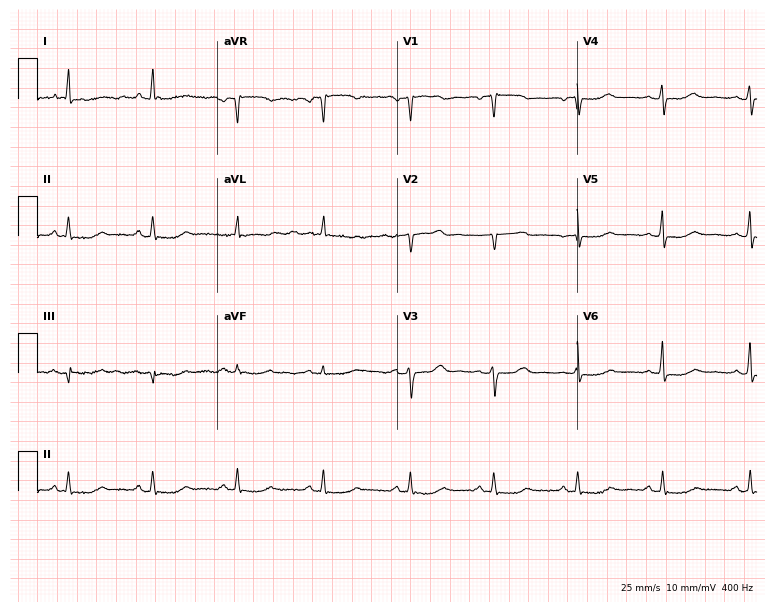
Electrocardiogram (7.3-second recording at 400 Hz), a female patient, 60 years old. Of the six screened findings (first-degree AV block, right bundle branch block, left bundle branch block, sinus bradycardia, atrial fibrillation, sinus tachycardia), none is recorded.